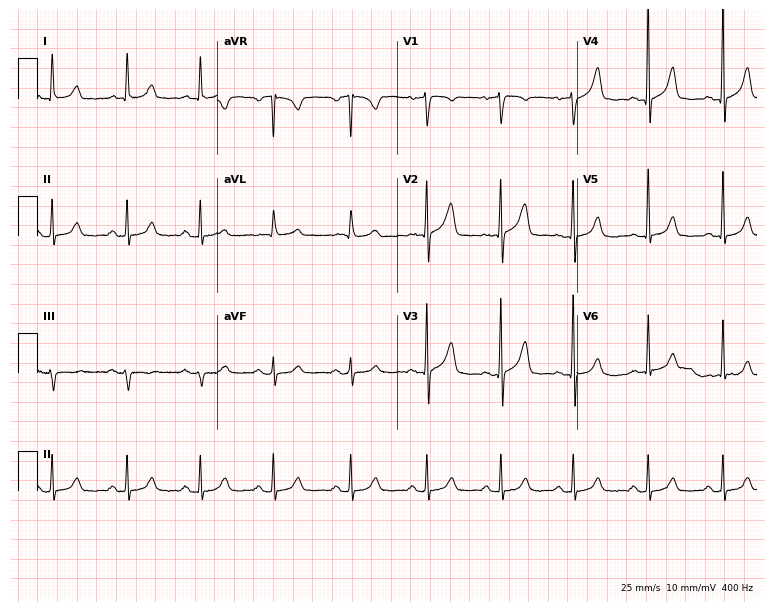
ECG (7.3-second recording at 400 Hz) — a female patient, 68 years old. Labelled as a normal ECG.